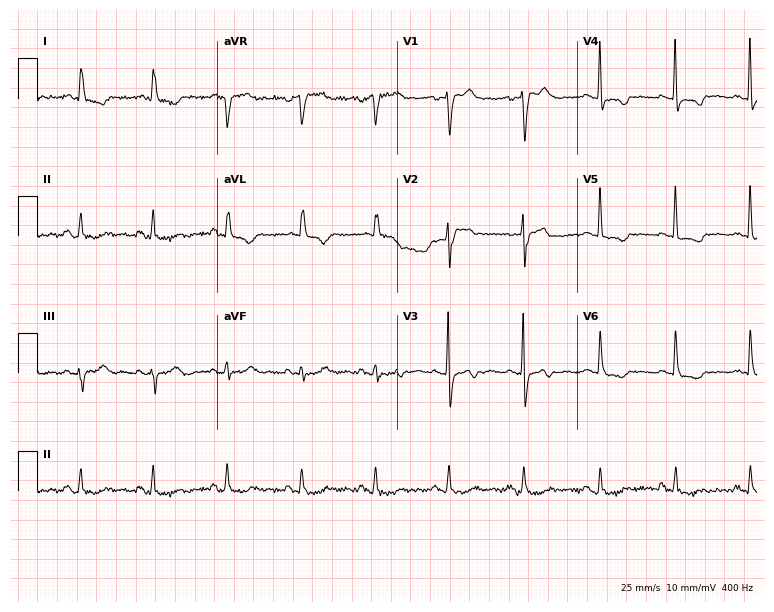
Standard 12-lead ECG recorded from a 72-year-old female patient (7.3-second recording at 400 Hz). None of these six findings is recorded: first-degree AV block, right bundle branch block (RBBB), left bundle branch block (LBBB), sinus bradycardia, atrial fibrillation (AF), sinus tachycardia.